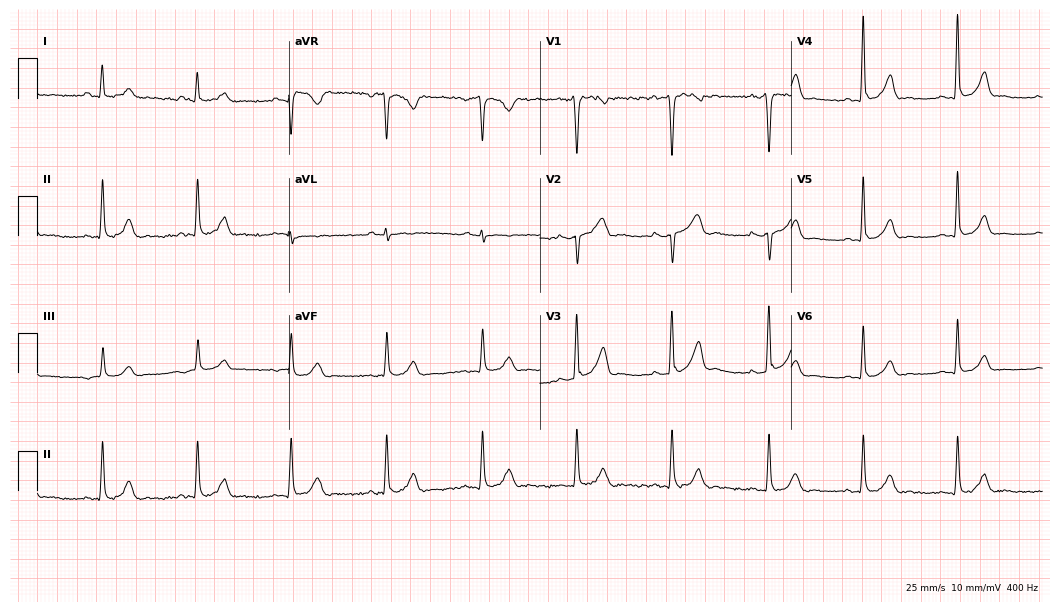
Electrocardiogram (10.2-second recording at 400 Hz), a 32-year-old female patient. Of the six screened findings (first-degree AV block, right bundle branch block, left bundle branch block, sinus bradycardia, atrial fibrillation, sinus tachycardia), none is recorded.